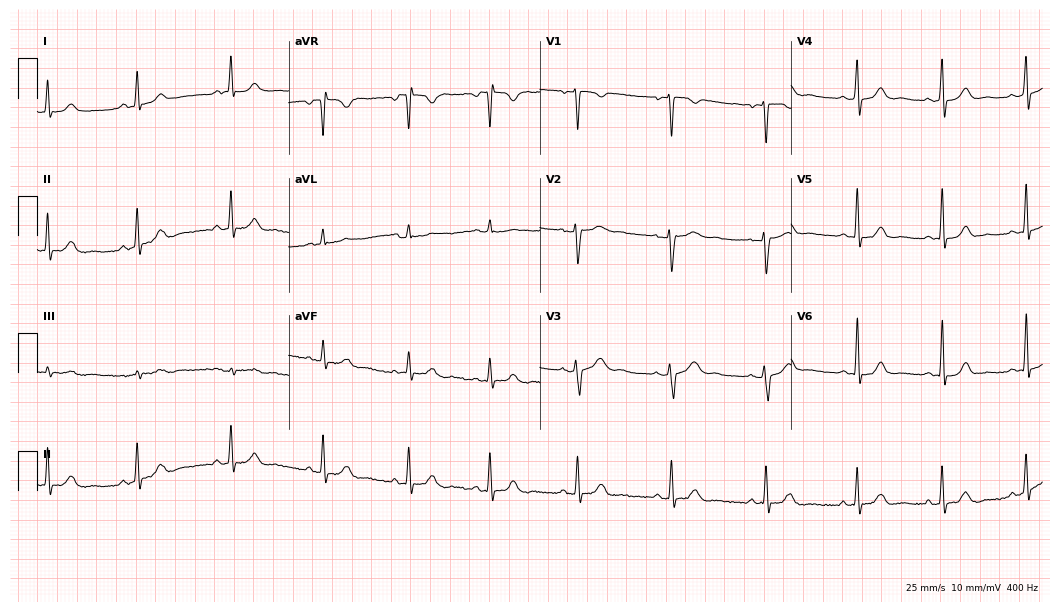
Standard 12-lead ECG recorded from a 22-year-old female (10.2-second recording at 400 Hz). Read as a normal ECG.